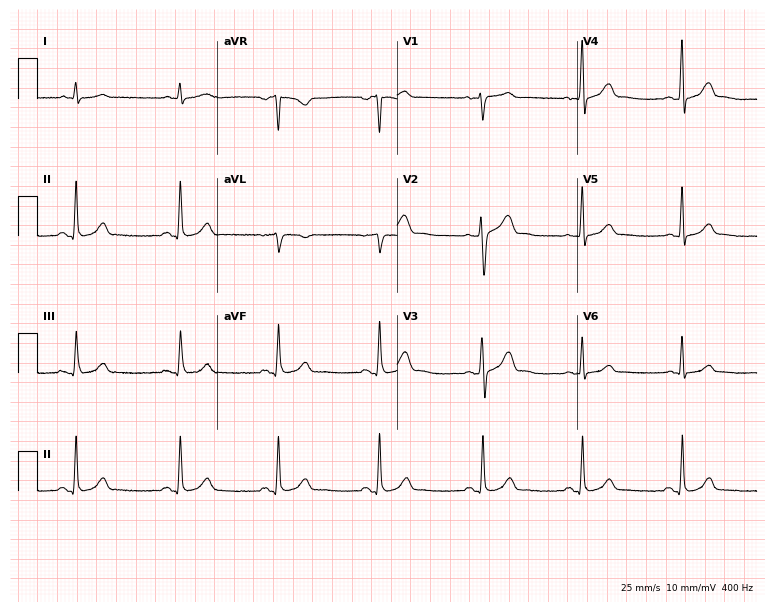
Electrocardiogram (7.3-second recording at 400 Hz), a female patient, 57 years old. Overall reading on record: normal ECG.